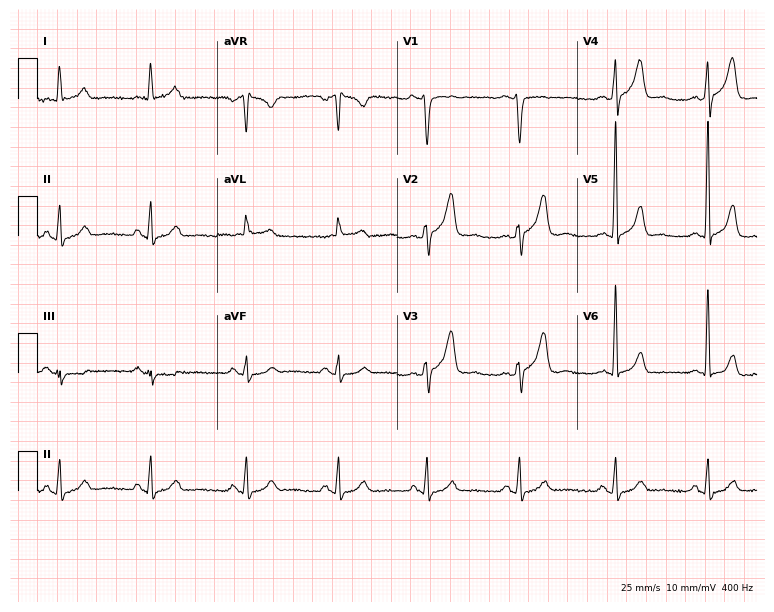
12-lead ECG from a 47-year-old man. No first-degree AV block, right bundle branch block, left bundle branch block, sinus bradycardia, atrial fibrillation or sinus tachycardia recorded for this tracing.